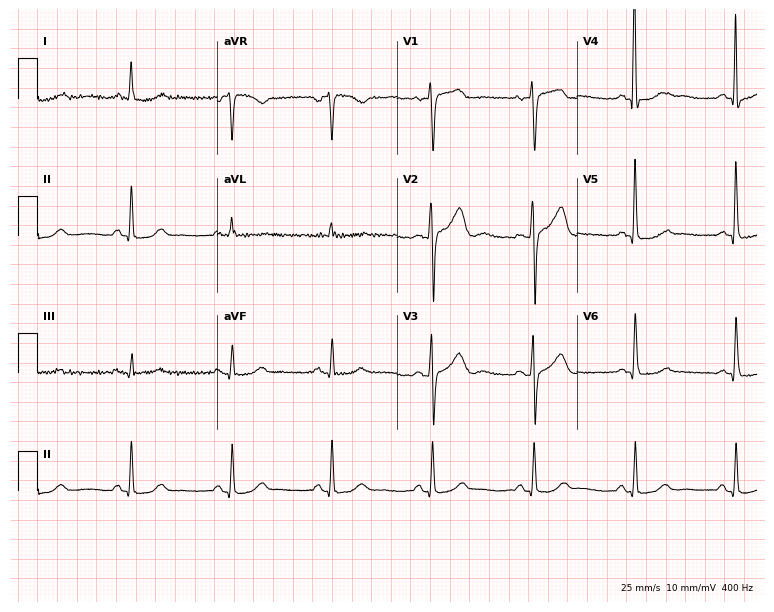
ECG — a woman, 68 years old. Labelled as a normal ECG.